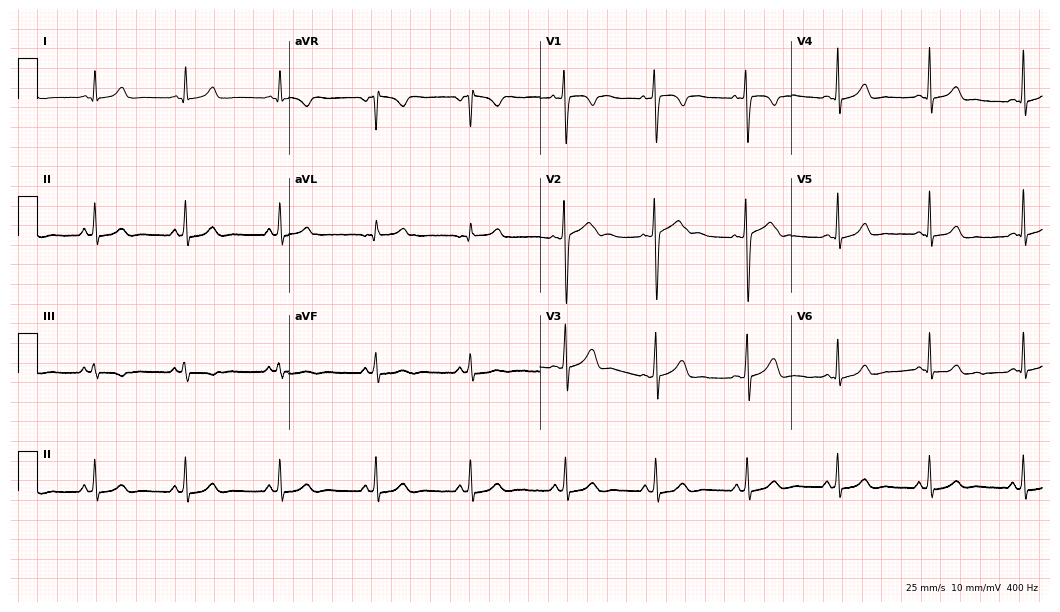
Standard 12-lead ECG recorded from a 29-year-old female patient. None of these six findings is recorded: first-degree AV block, right bundle branch block, left bundle branch block, sinus bradycardia, atrial fibrillation, sinus tachycardia.